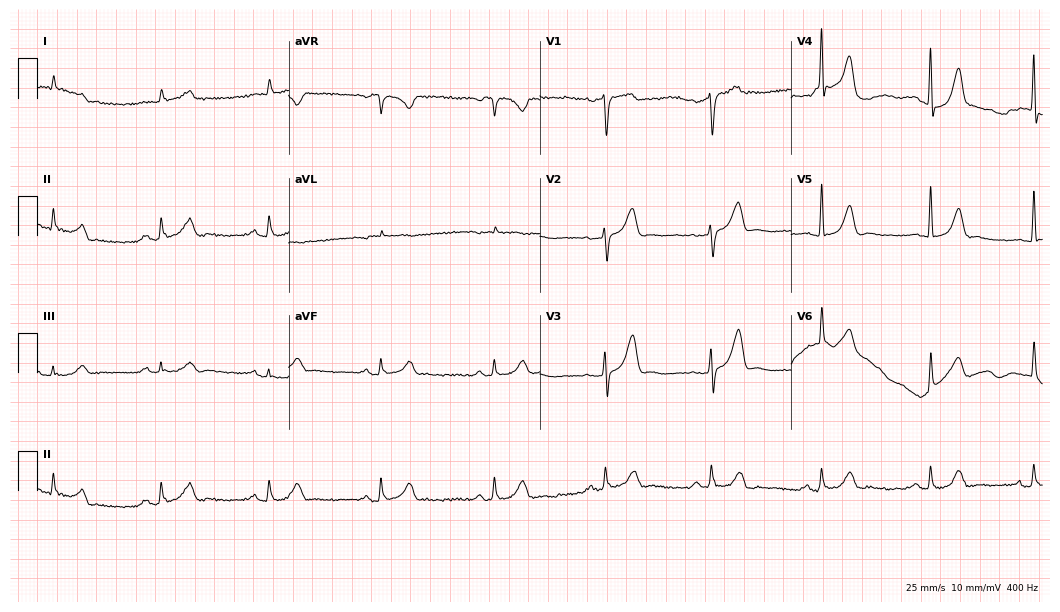
Standard 12-lead ECG recorded from a male, 70 years old (10.2-second recording at 400 Hz). Read as a normal ECG.